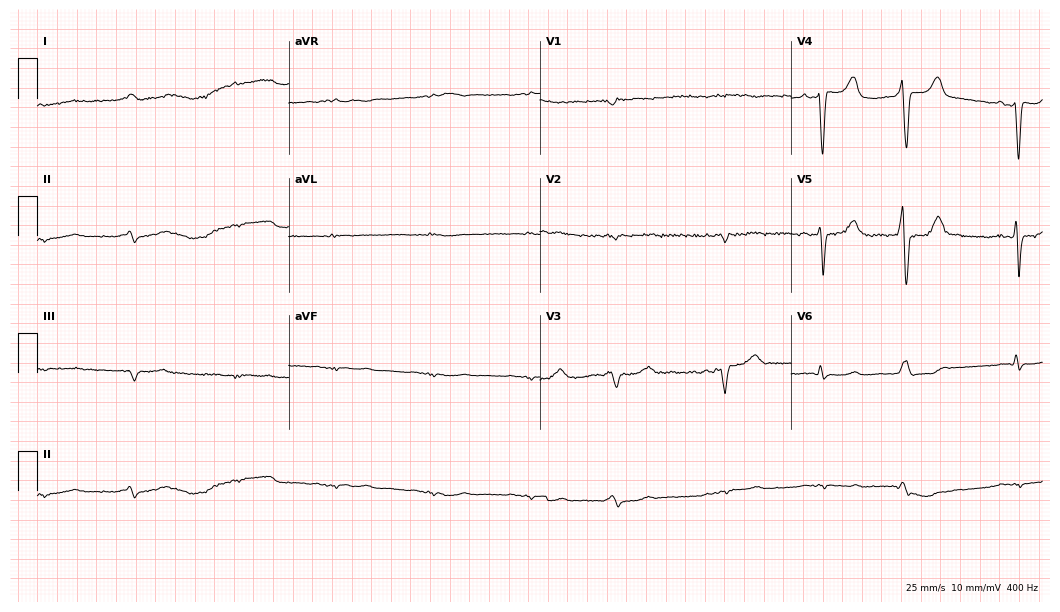
12-lead ECG from a male patient, 85 years old. No first-degree AV block, right bundle branch block, left bundle branch block, sinus bradycardia, atrial fibrillation or sinus tachycardia recorded for this tracing.